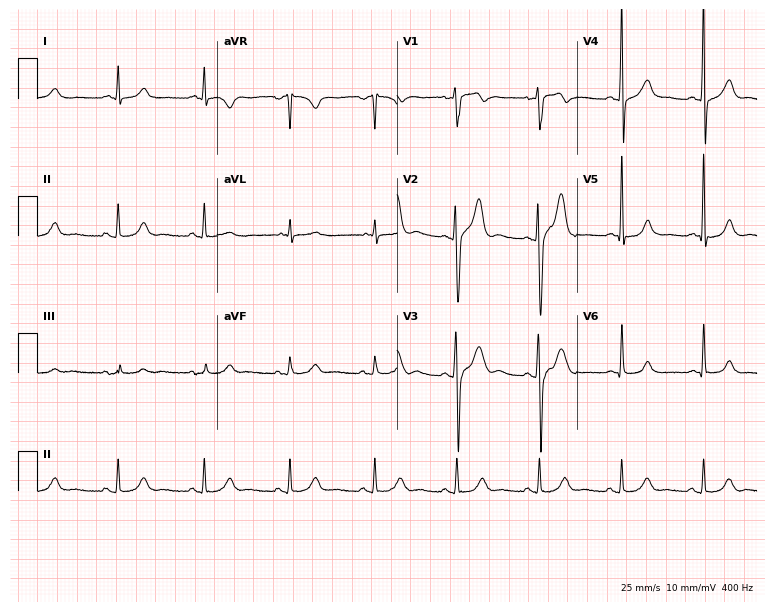
Resting 12-lead electrocardiogram (7.3-second recording at 400 Hz). Patient: a 32-year-old man. None of these six findings is recorded: first-degree AV block, right bundle branch block, left bundle branch block, sinus bradycardia, atrial fibrillation, sinus tachycardia. Findings outside these six are not listed.